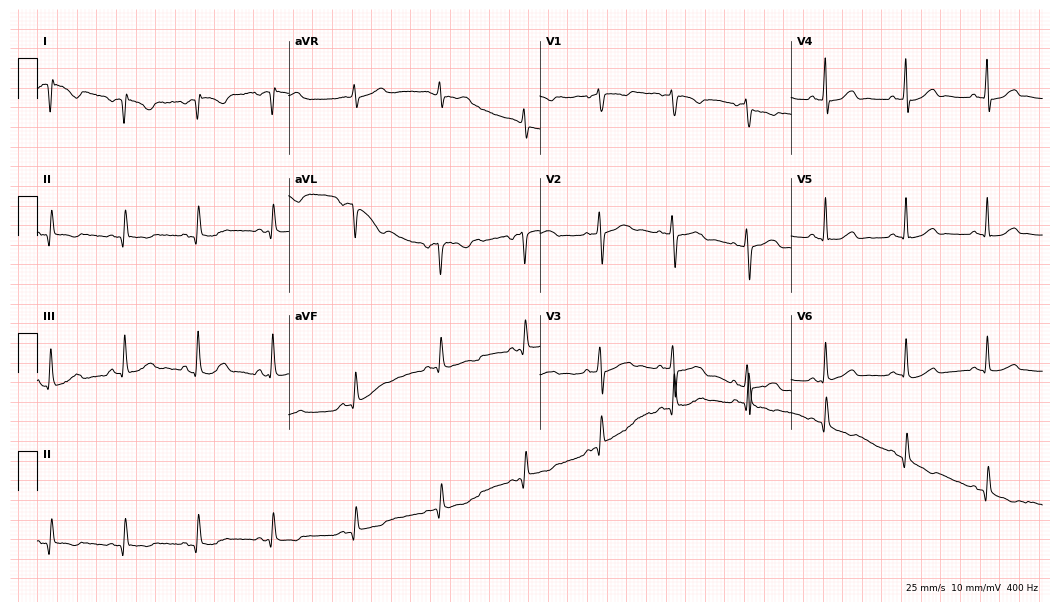
12-lead ECG (10.2-second recording at 400 Hz) from a 46-year-old woman. Screened for six findings — first-degree AV block, right bundle branch block (RBBB), left bundle branch block (LBBB), sinus bradycardia, atrial fibrillation (AF), sinus tachycardia — none is recorded.